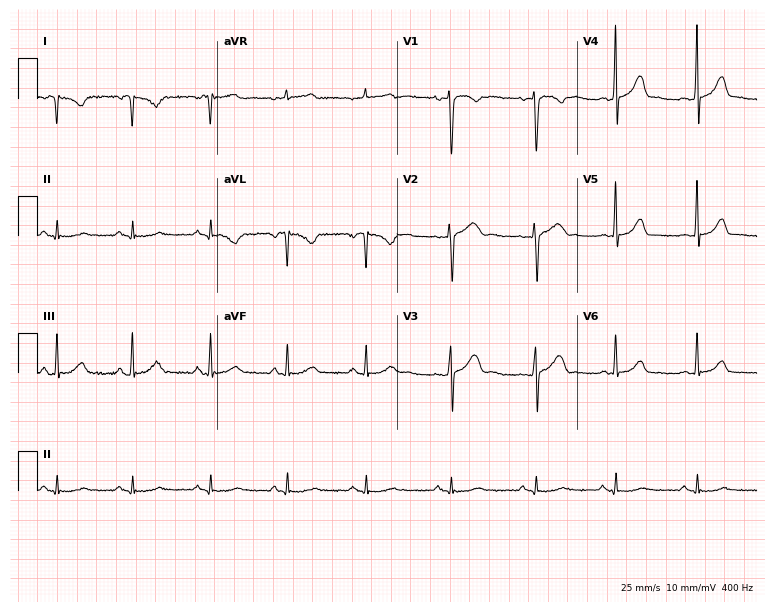
12-lead ECG from a 35-year-old female. No first-degree AV block, right bundle branch block, left bundle branch block, sinus bradycardia, atrial fibrillation or sinus tachycardia recorded for this tracing. Only these six findings were labelled.